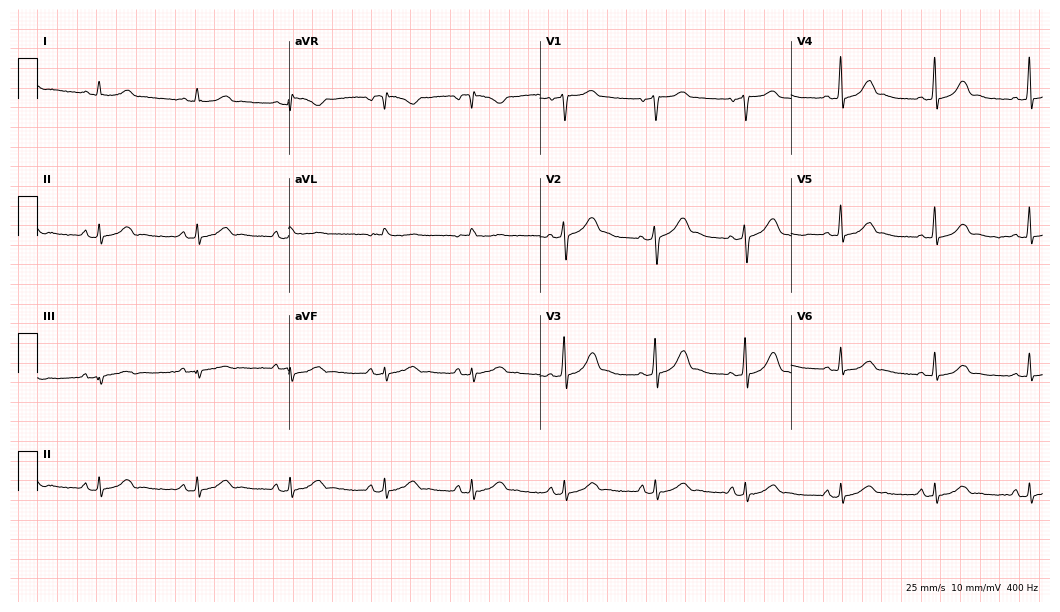
12-lead ECG from a 45-year-old woman (10.2-second recording at 400 Hz). Recorded interpretation: within normal limits.